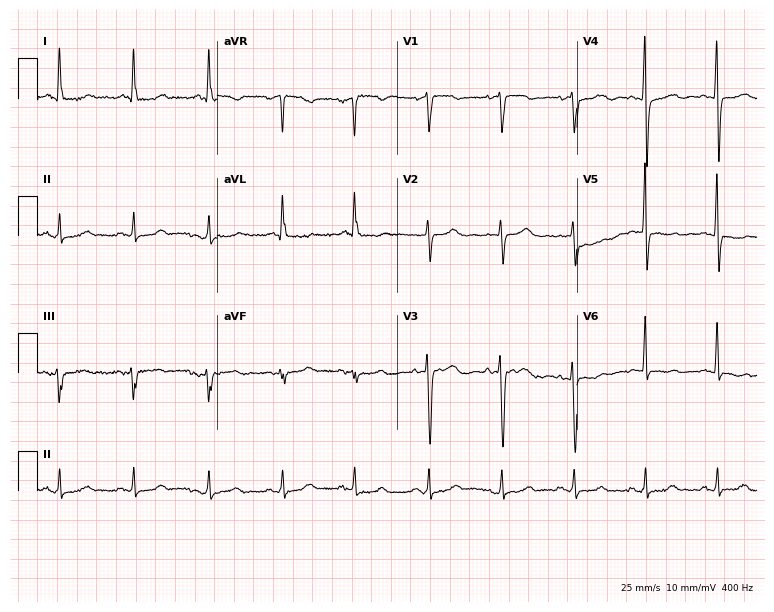
12-lead ECG from a 61-year-old female patient. No first-degree AV block, right bundle branch block (RBBB), left bundle branch block (LBBB), sinus bradycardia, atrial fibrillation (AF) or sinus tachycardia recorded for this tracing. Only these six findings were labelled.